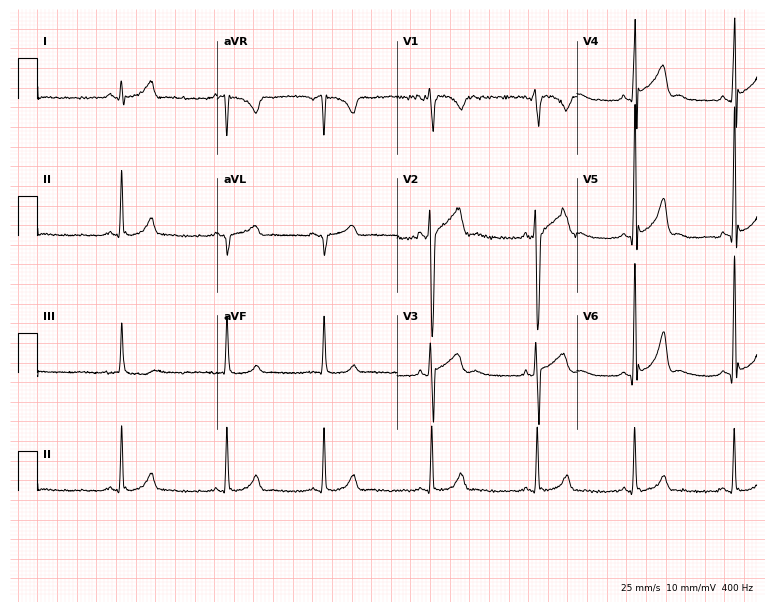
12-lead ECG from a female, 17 years old. No first-degree AV block, right bundle branch block, left bundle branch block, sinus bradycardia, atrial fibrillation or sinus tachycardia recorded for this tracing.